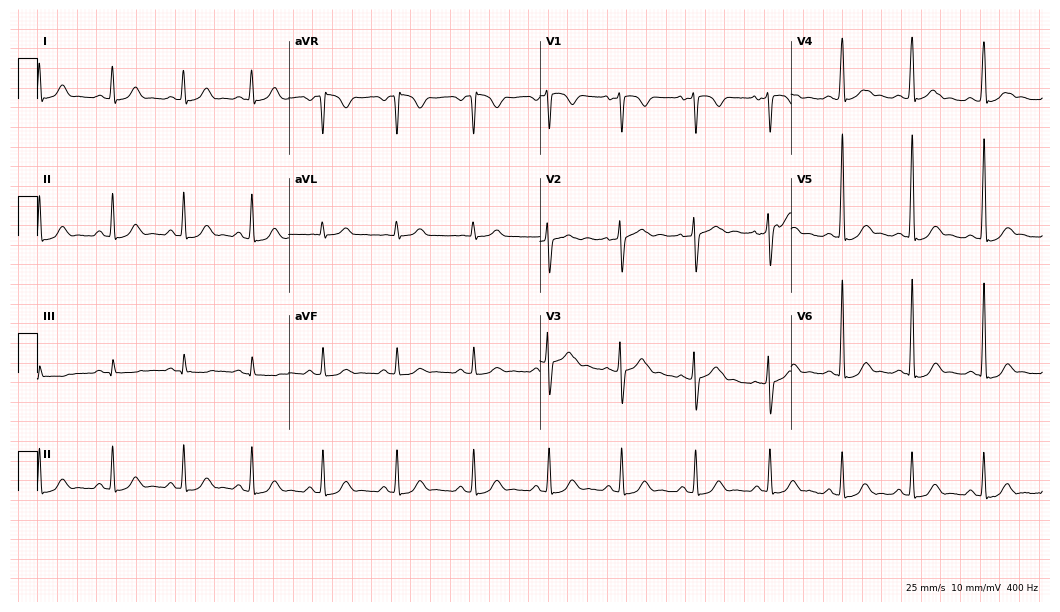
Standard 12-lead ECG recorded from a male patient, 30 years old (10.2-second recording at 400 Hz). None of these six findings is recorded: first-degree AV block, right bundle branch block, left bundle branch block, sinus bradycardia, atrial fibrillation, sinus tachycardia. Other findings, if any, are not listed.